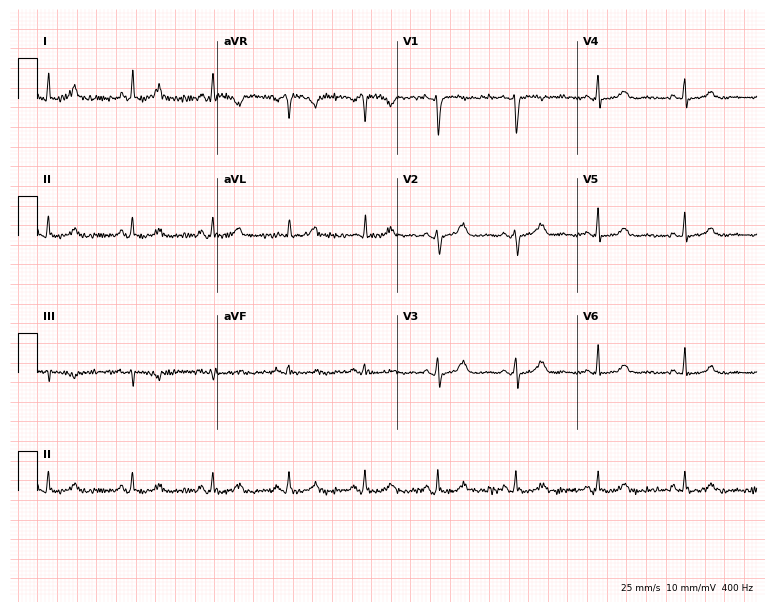
12-lead ECG from a 53-year-old female patient (7.3-second recording at 400 Hz). Recorded interpretation: within normal limits.